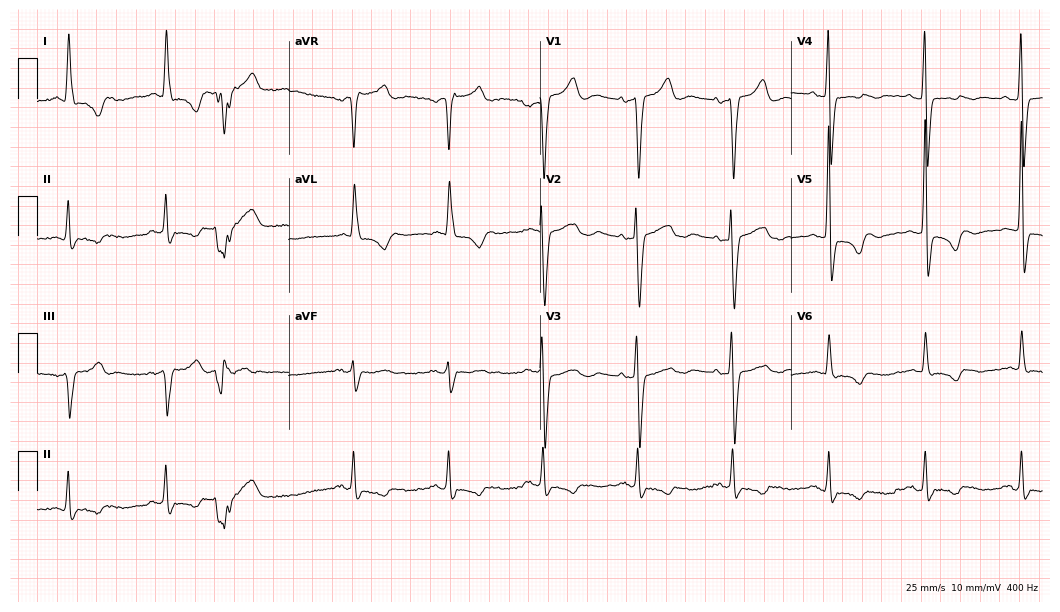
Electrocardiogram (10.2-second recording at 400 Hz), a 71-year-old male. Of the six screened findings (first-degree AV block, right bundle branch block, left bundle branch block, sinus bradycardia, atrial fibrillation, sinus tachycardia), none is recorded. Only these six findings were labelled.